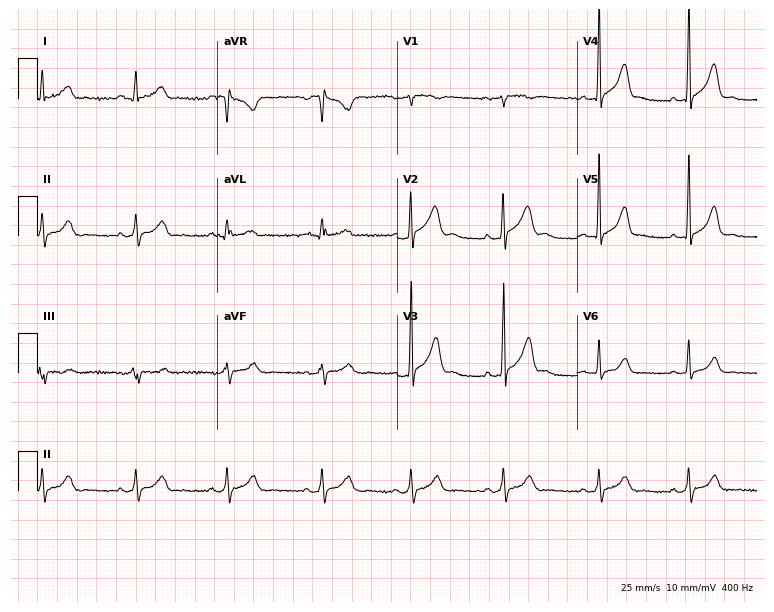
Electrocardiogram (7.3-second recording at 400 Hz), a 27-year-old male patient. Overall reading on record: normal ECG.